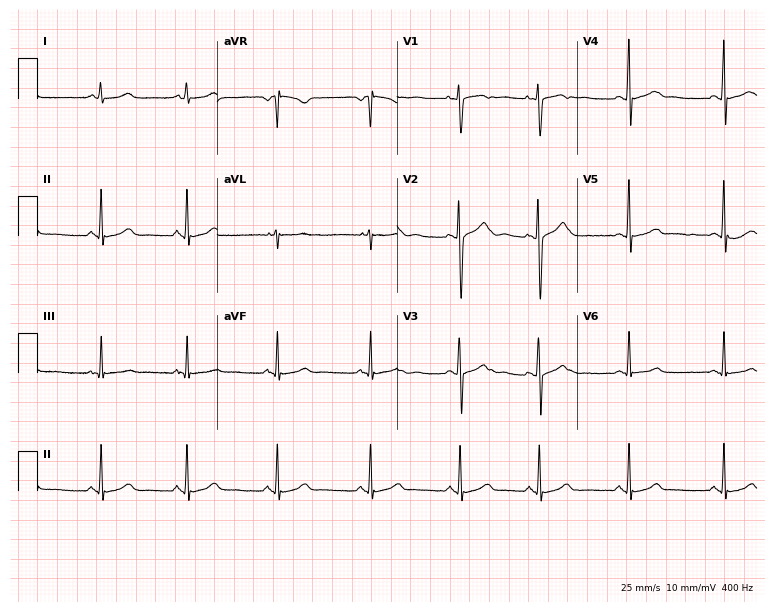
12-lead ECG (7.3-second recording at 400 Hz) from a female, 27 years old. Labelled as a normal ECG.